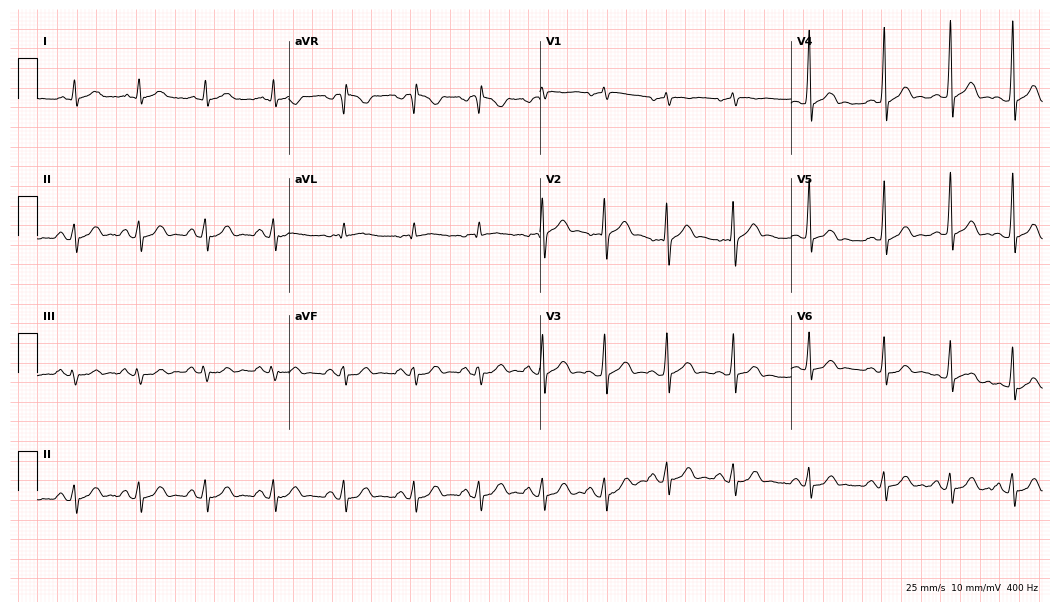
Electrocardiogram, a 27-year-old male patient. Overall reading on record: normal ECG.